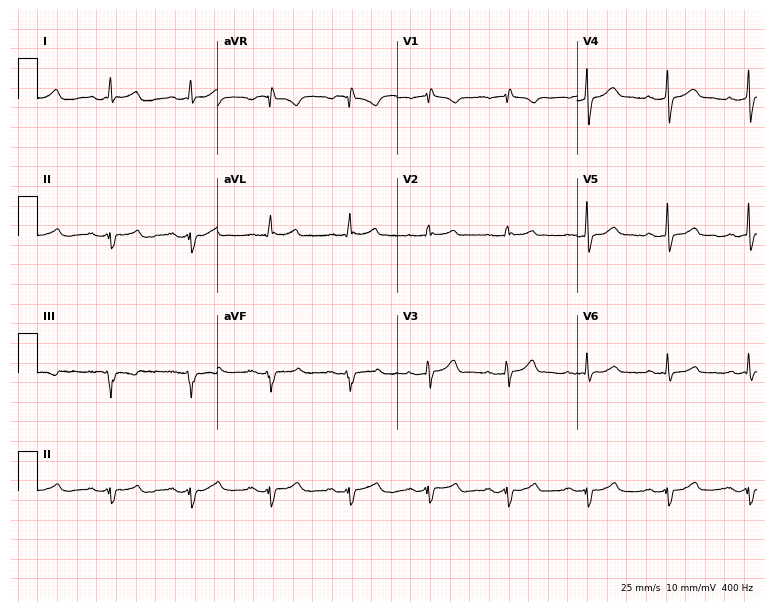
Resting 12-lead electrocardiogram (7.3-second recording at 400 Hz). Patient: a 52-year-old man. None of these six findings is recorded: first-degree AV block, right bundle branch block, left bundle branch block, sinus bradycardia, atrial fibrillation, sinus tachycardia. Only these six findings were labelled.